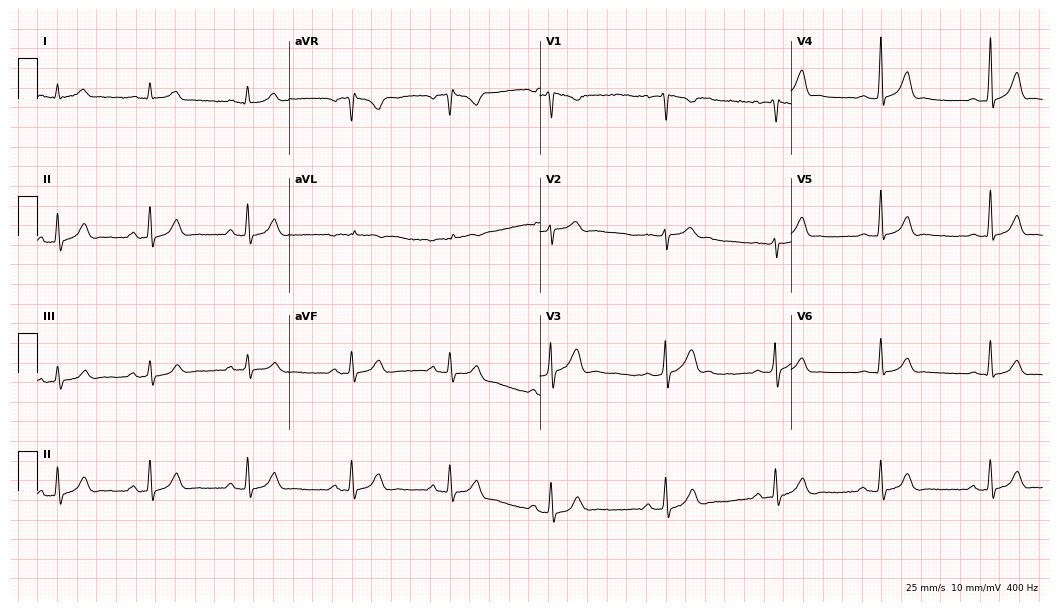
Electrocardiogram, a 32-year-old male patient. Overall reading on record: normal ECG.